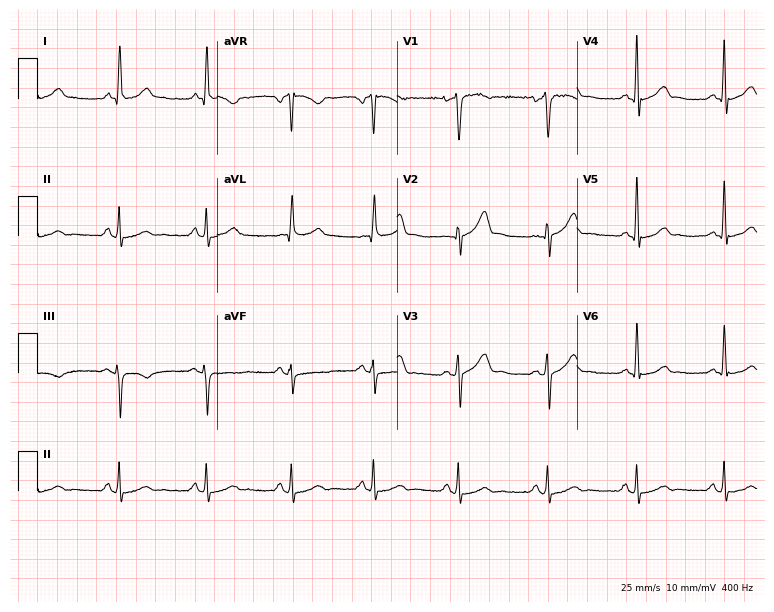
ECG — a male patient, 55 years old. Labelled as a normal ECG.